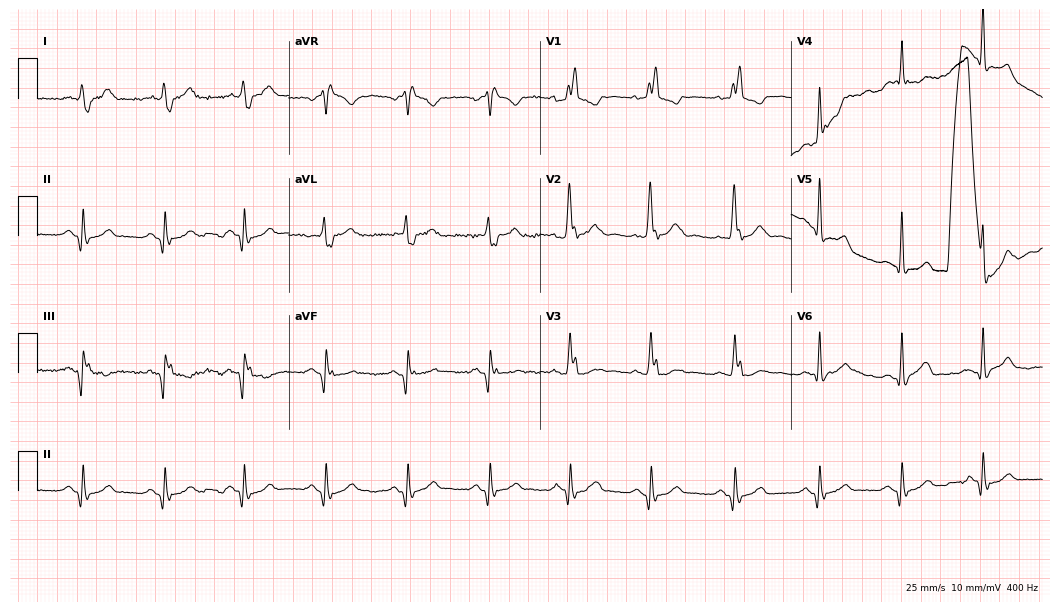
Standard 12-lead ECG recorded from a male patient, 67 years old. None of these six findings is recorded: first-degree AV block, right bundle branch block (RBBB), left bundle branch block (LBBB), sinus bradycardia, atrial fibrillation (AF), sinus tachycardia. Findings outside these six are not listed.